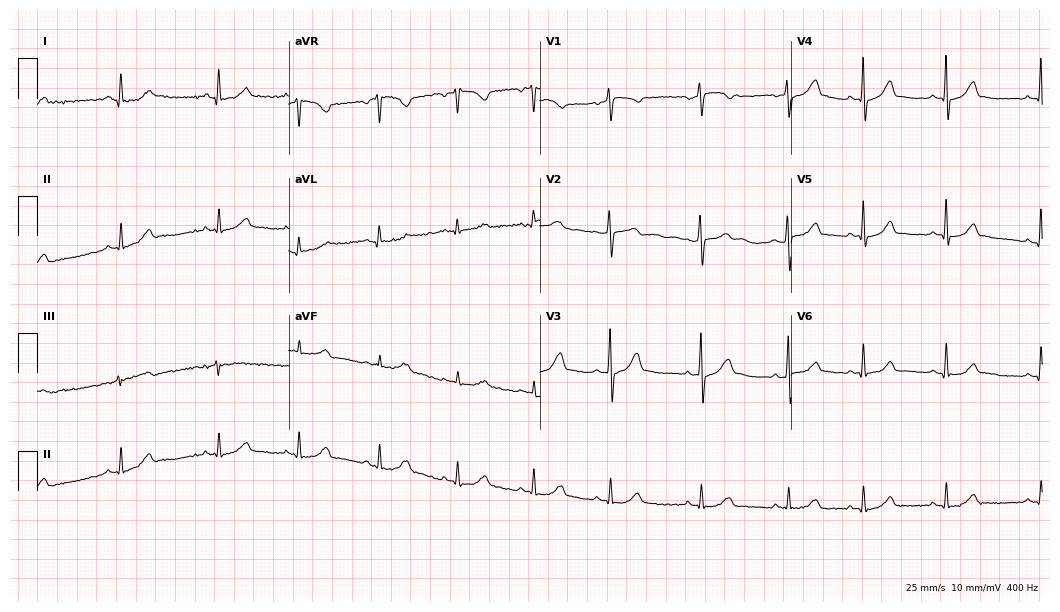
12-lead ECG (10.2-second recording at 400 Hz) from a 24-year-old woman. Screened for six findings — first-degree AV block, right bundle branch block, left bundle branch block, sinus bradycardia, atrial fibrillation, sinus tachycardia — none is recorded.